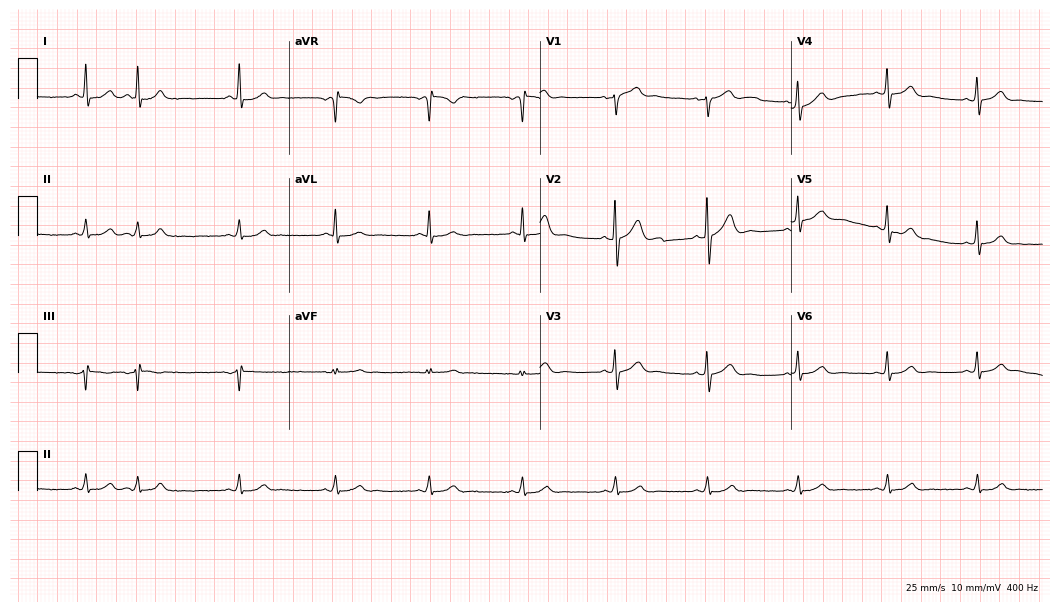
Resting 12-lead electrocardiogram. Patient: a 66-year-old male. Read as a normal ECG.